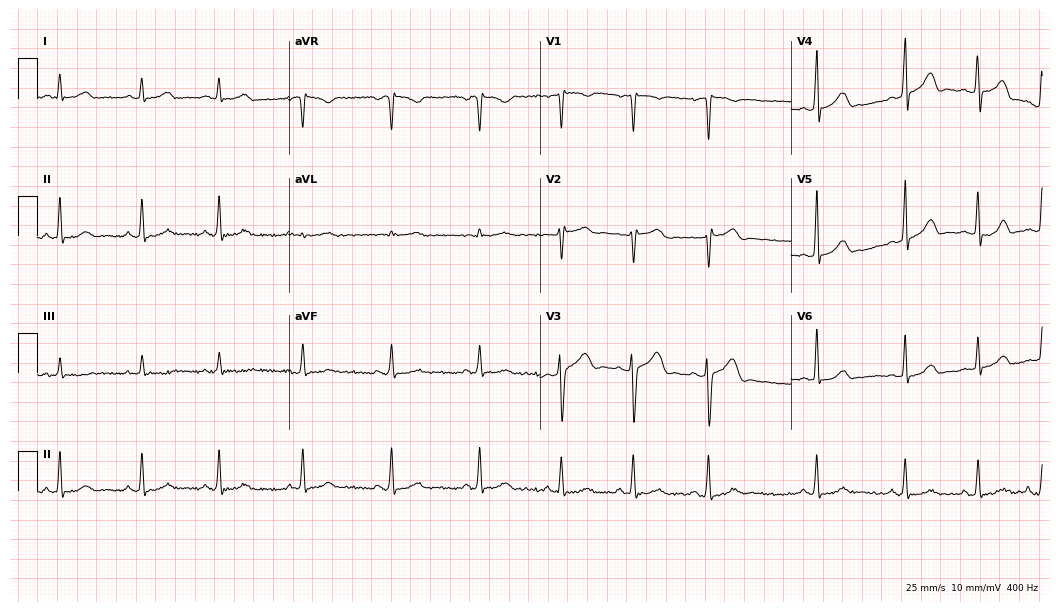
12-lead ECG (10.2-second recording at 400 Hz) from a 17-year-old woman. Labelled as a normal ECG.